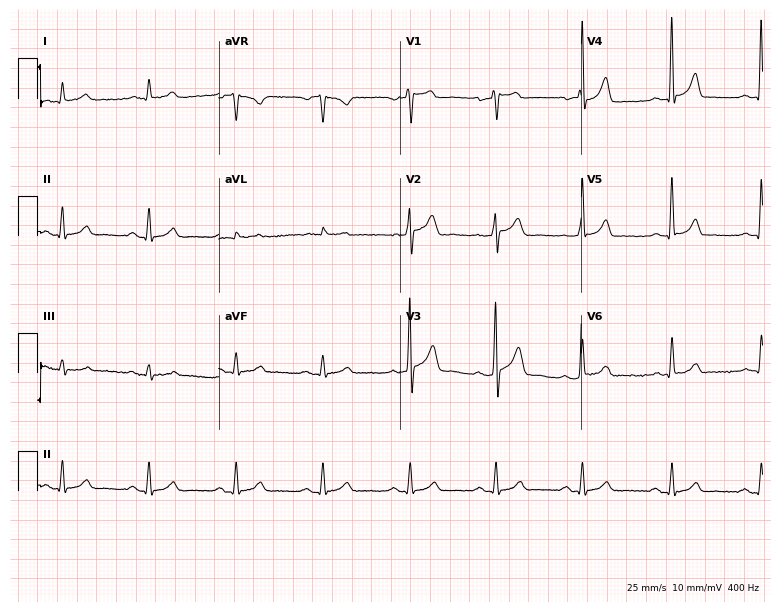
12-lead ECG from a 48-year-old male patient. Labelled as a normal ECG.